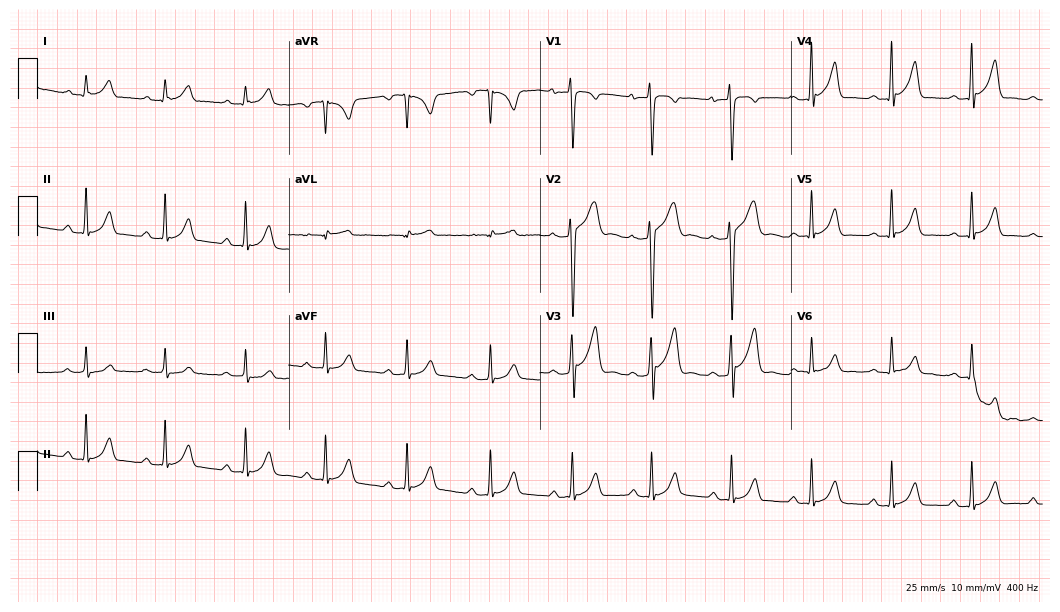
ECG (10.2-second recording at 400 Hz) — a man, 30 years old. Screened for six findings — first-degree AV block, right bundle branch block, left bundle branch block, sinus bradycardia, atrial fibrillation, sinus tachycardia — none is recorded.